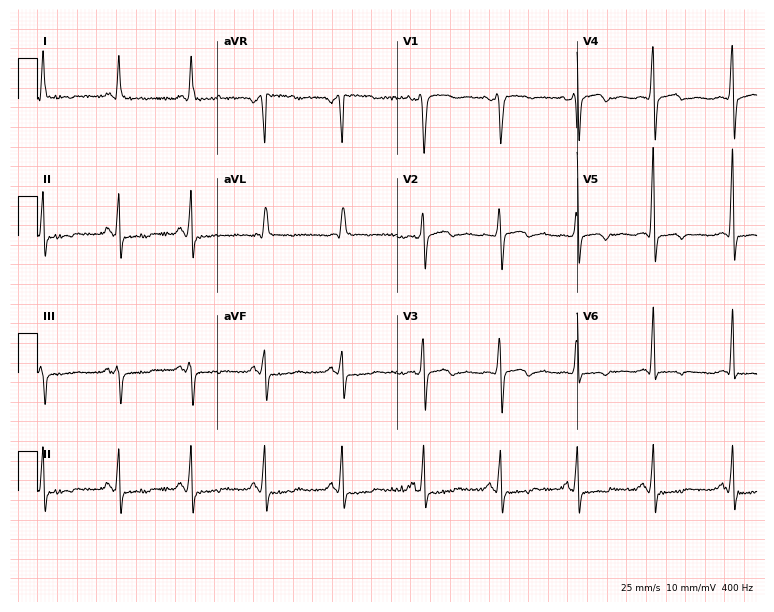
Standard 12-lead ECG recorded from a female, 50 years old (7.3-second recording at 400 Hz). None of these six findings is recorded: first-degree AV block, right bundle branch block (RBBB), left bundle branch block (LBBB), sinus bradycardia, atrial fibrillation (AF), sinus tachycardia.